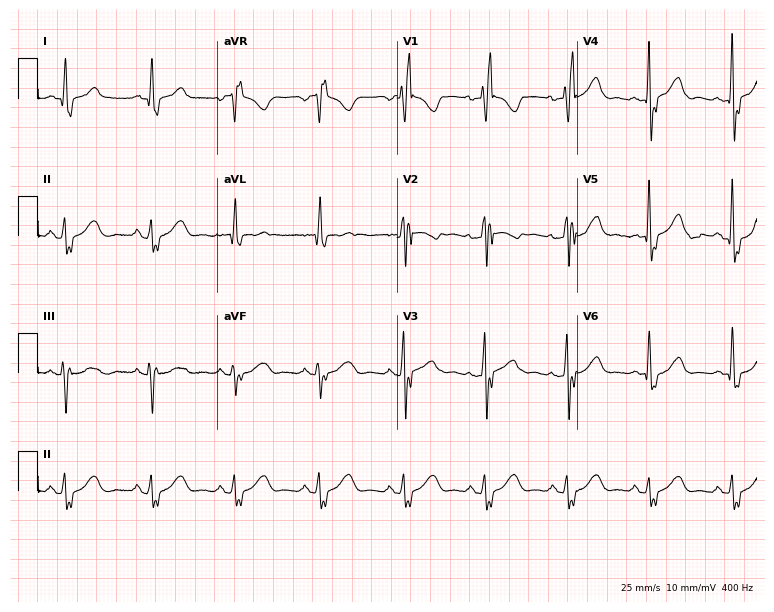
12-lead ECG from a female, 64 years old (7.3-second recording at 400 Hz). No first-degree AV block, right bundle branch block, left bundle branch block, sinus bradycardia, atrial fibrillation or sinus tachycardia recorded for this tracing. Other findings, if any, are not listed.